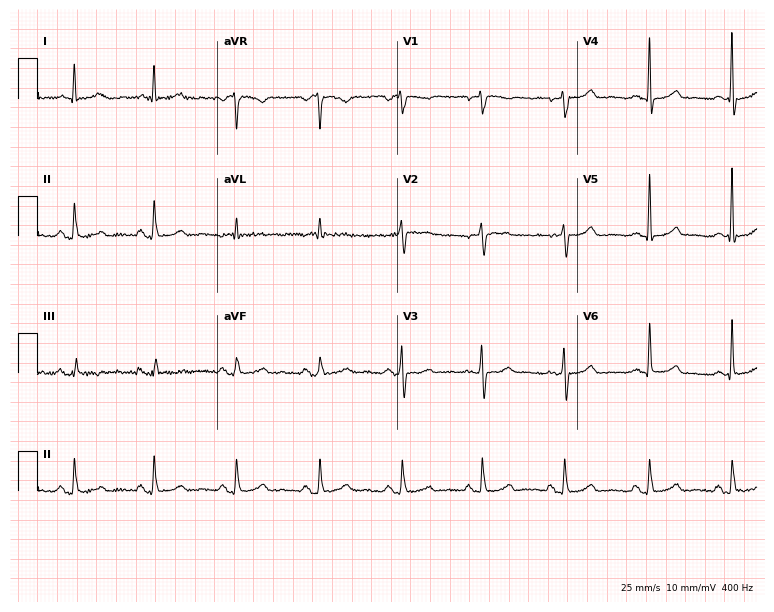
12-lead ECG from a 52-year-old female patient (7.3-second recording at 400 Hz). Recorded interpretation: within normal limits.